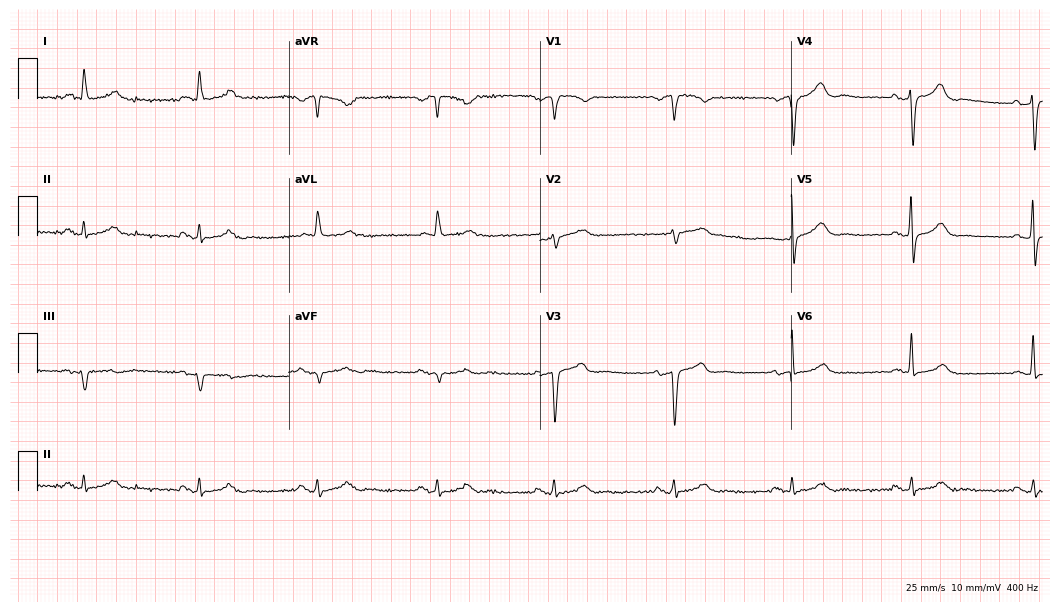
12-lead ECG (10.2-second recording at 400 Hz) from a man, 68 years old. Findings include sinus bradycardia (a sinus rate of 50 beats per minute or less).